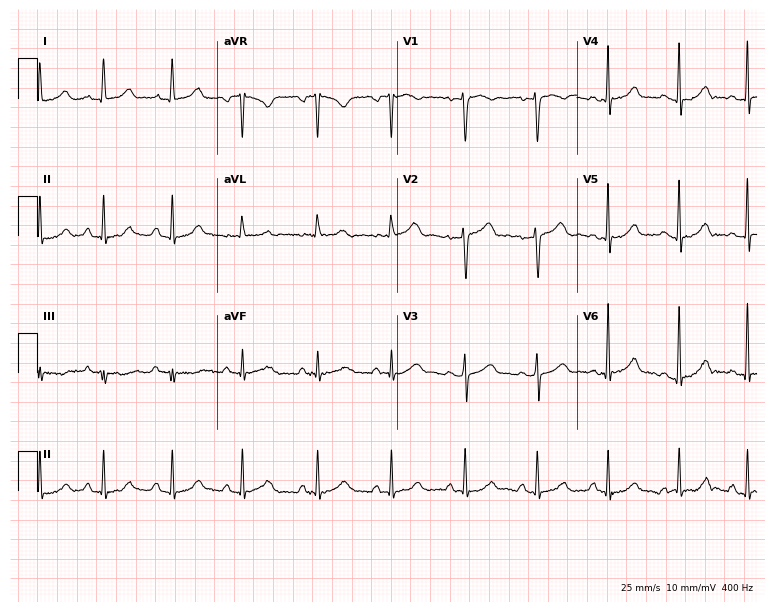
Electrocardiogram (7.3-second recording at 400 Hz), a 25-year-old female. Overall reading on record: normal ECG.